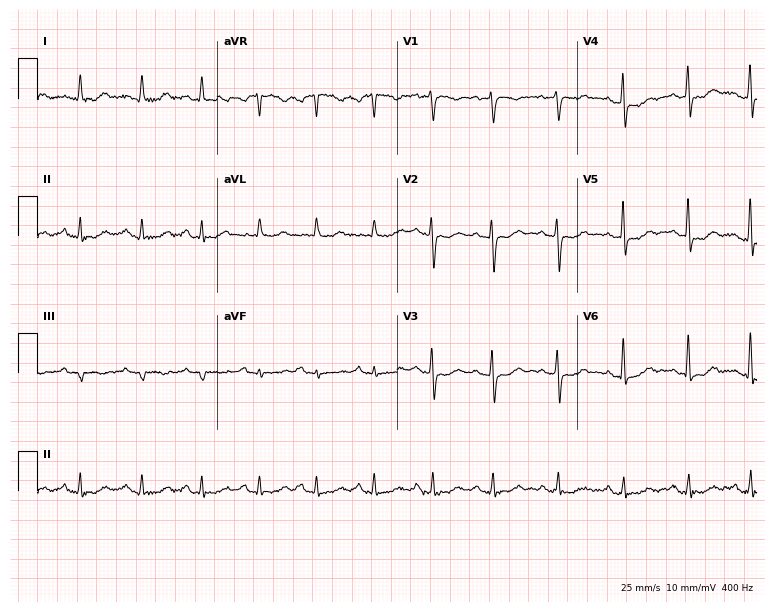
12-lead ECG from a 56-year-old female. No first-degree AV block, right bundle branch block, left bundle branch block, sinus bradycardia, atrial fibrillation or sinus tachycardia recorded for this tracing.